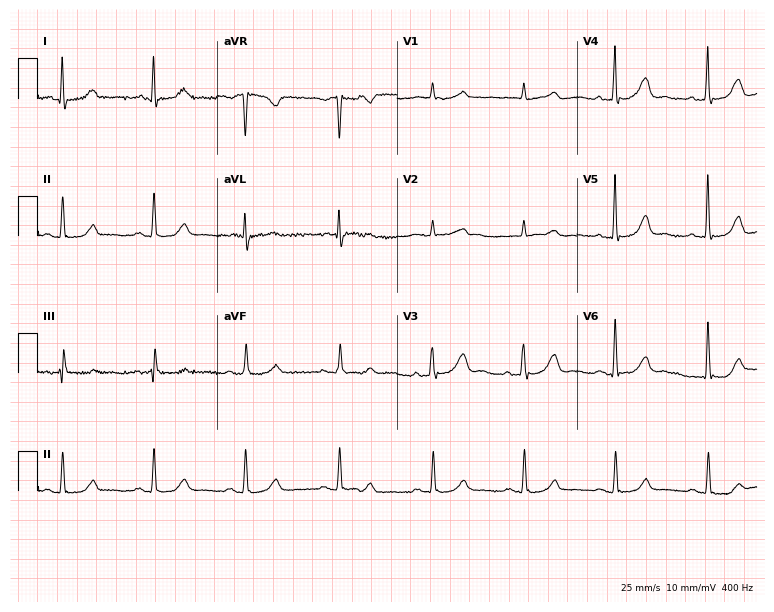
Standard 12-lead ECG recorded from a 60-year-old woman. Read as a normal ECG.